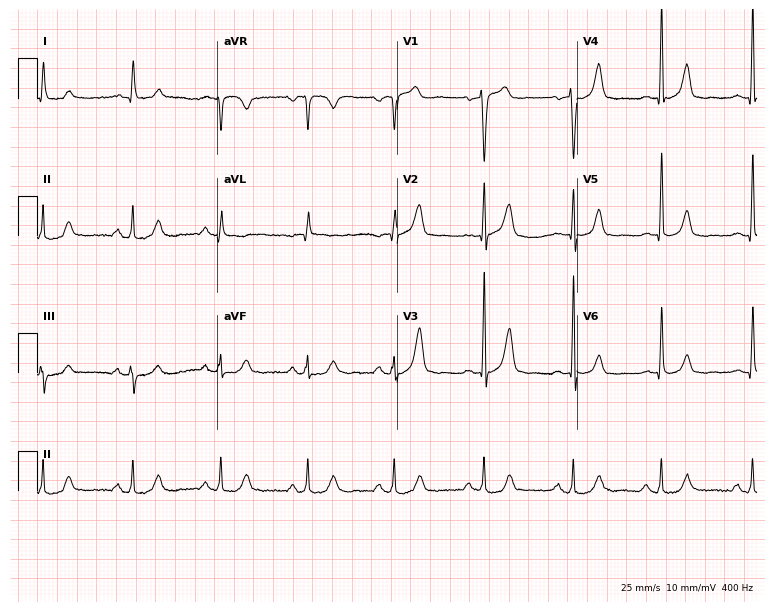
12-lead ECG from a 67-year-old male patient. Recorded interpretation: within normal limits.